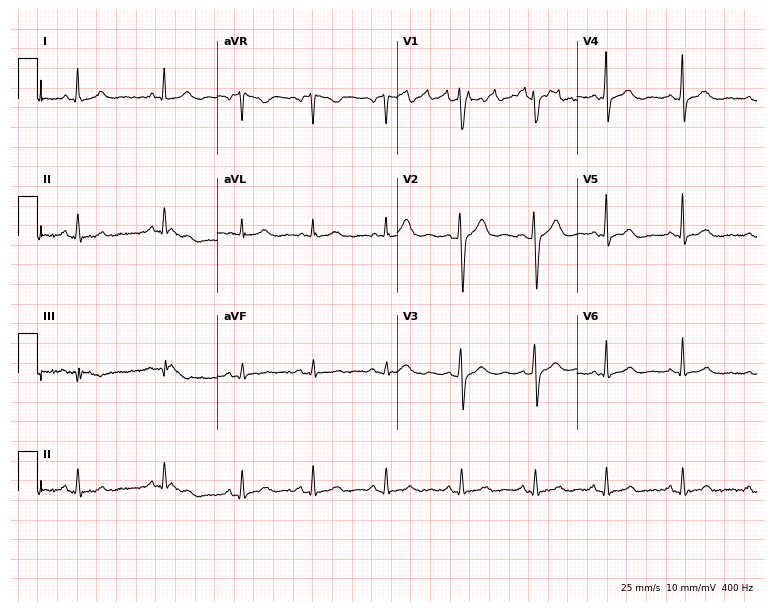
Electrocardiogram, a woman, 36 years old. Of the six screened findings (first-degree AV block, right bundle branch block (RBBB), left bundle branch block (LBBB), sinus bradycardia, atrial fibrillation (AF), sinus tachycardia), none is recorded.